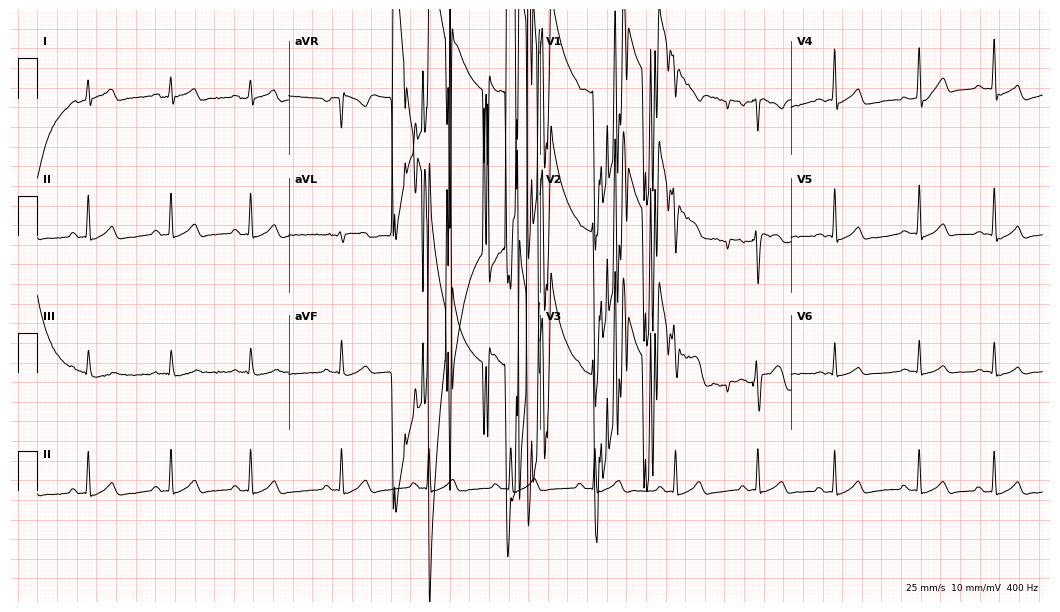
Resting 12-lead electrocardiogram. Patient: an 18-year-old man. None of these six findings is recorded: first-degree AV block, right bundle branch block, left bundle branch block, sinus bradycardia, atrial fibrillation, sinus tachycardia.